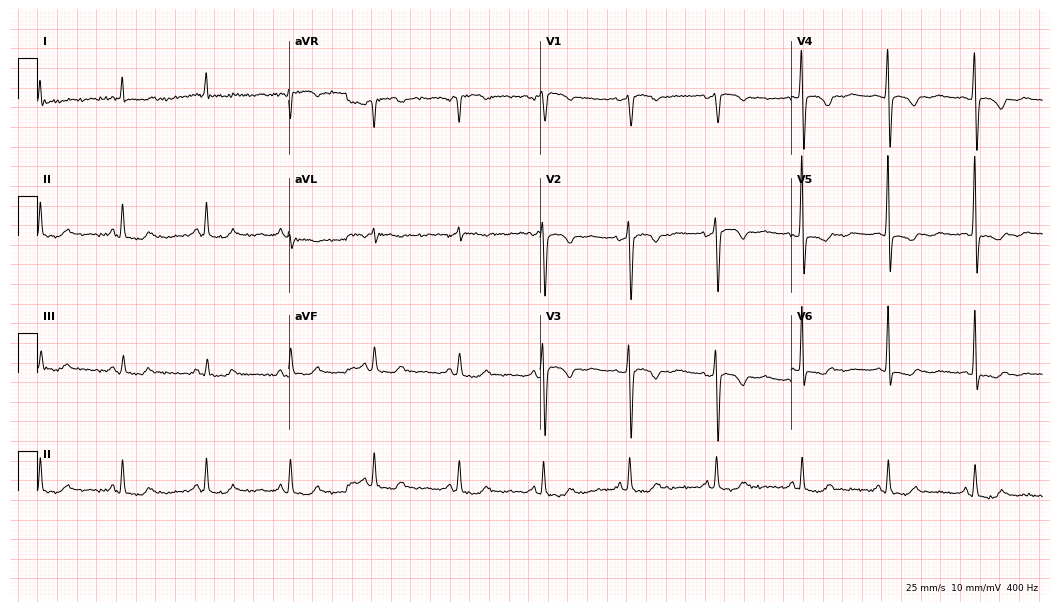
12-lead ECG from a 60-year-old woman (10.2-second recording at 400 Hz). No first-degree AV block, right bundle branch block (RBBB), left bundle branch block (LBBB), sinus bradycardia, atrial fibrillation (AF) or sinus tachycardia recorded for this tracing. Only these six findings were labelled.